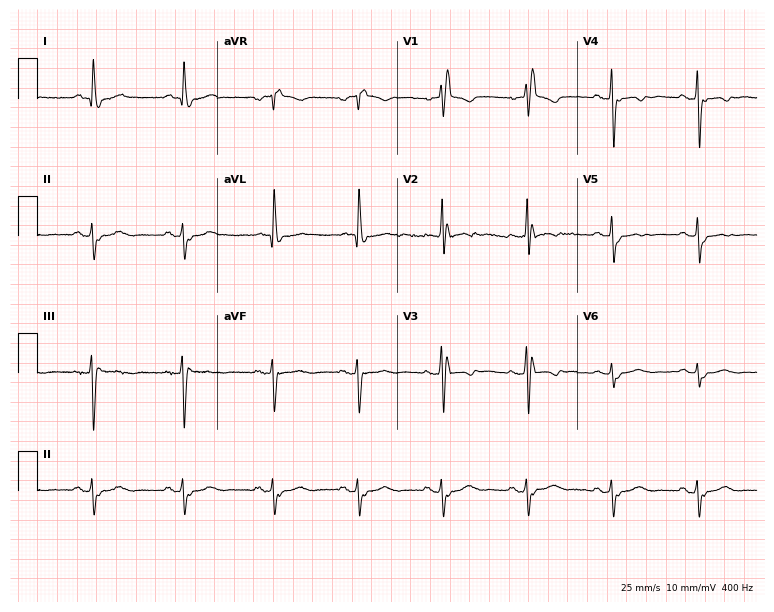
Standard 12-lead ECG recorded from a woman, 80 years old (7.3-second recording at 400 Hz). The tracing shows right bundle branch block (RBBB).